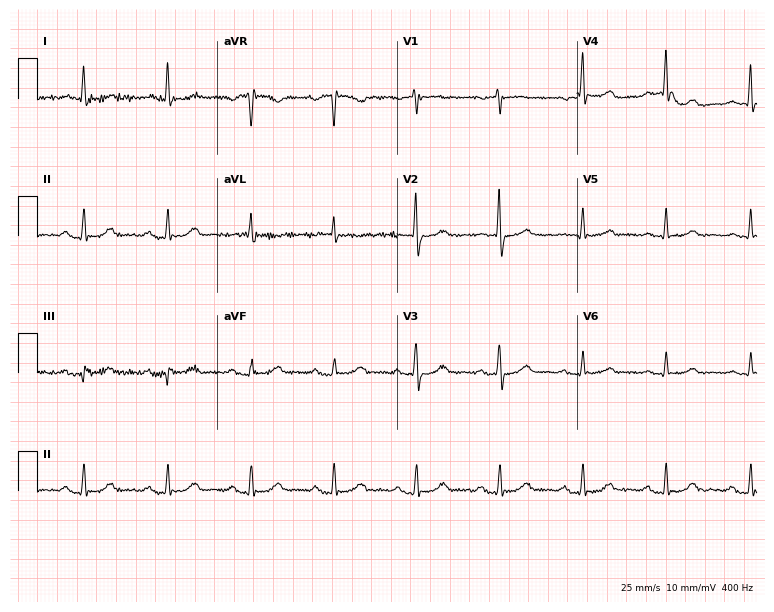
12-lead ECG from a 69-year-old woman. Recorded interpretation: within normal limits.